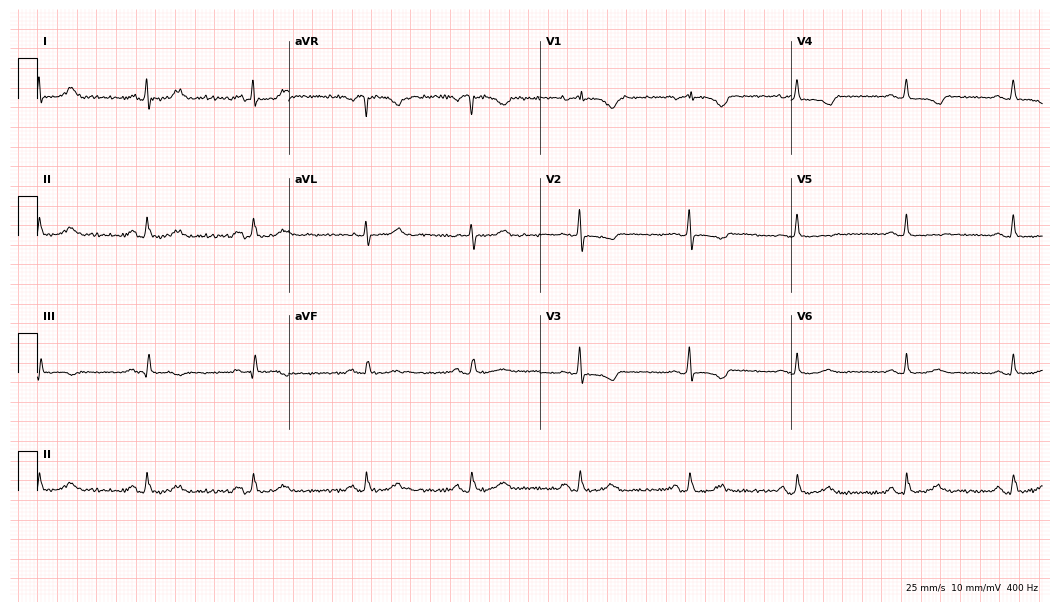
ECG (10.2-second recording at 400 Hz) — a female patient, 63 years old. Labelled as a normal ECG.